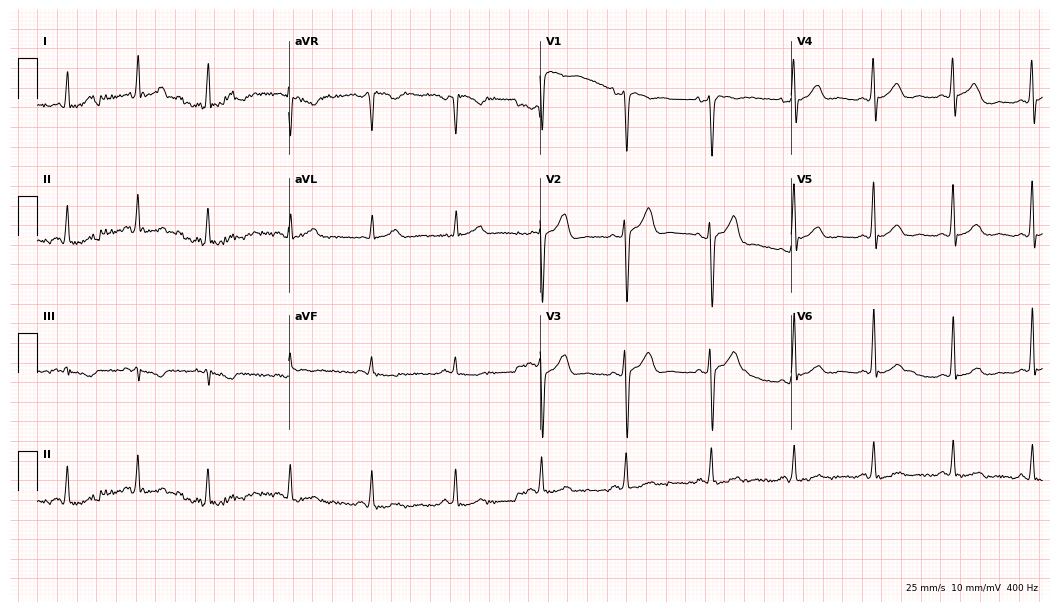
Resting 12-lead electrocardiogram. Patient: a male, 44 years old. Read as a normal ECG.